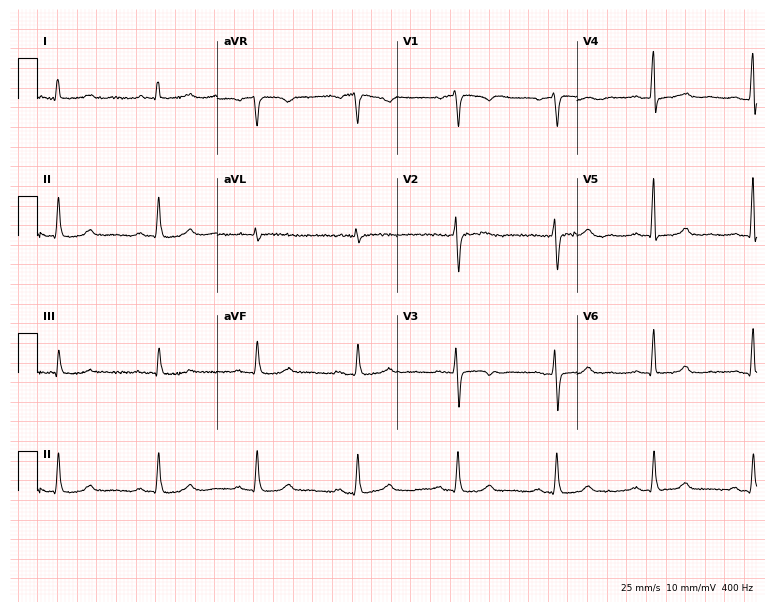
Resting 12-lead electrocardiogram. Patient: a female, 62 years old. None of these six findings is recorded: first-degree AV block, right bundle branch block, left bundle branch block, sinus bradycardia, atrial fibrillation, sinus tachycardia.